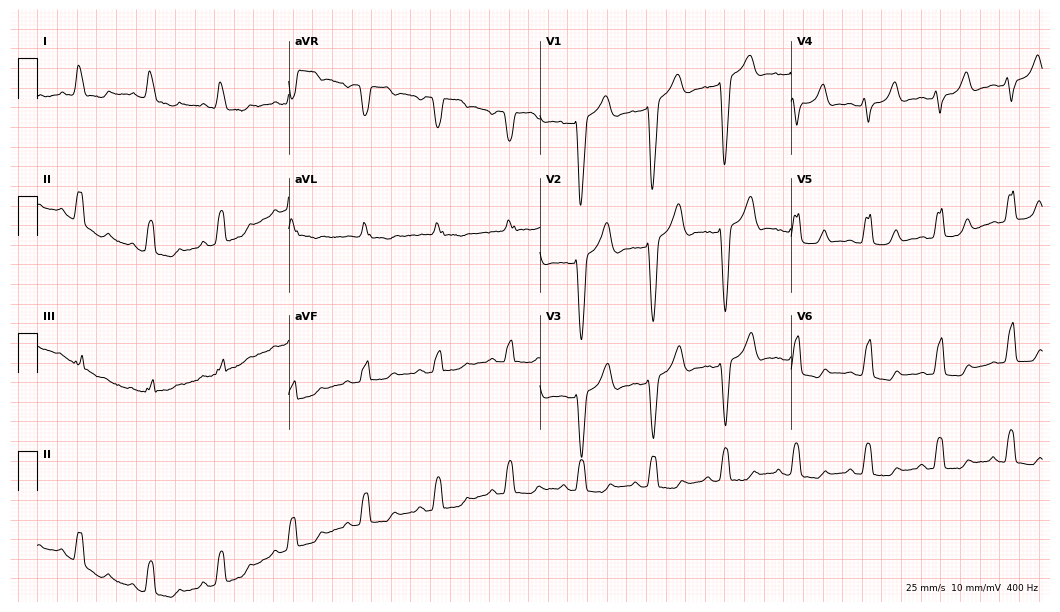
Resting 12-lead electrocardiogram (10.2-second recording at 400 Hz). Patient: a female, 77 years old. The tracing shows left bundle branch block (LBBB).